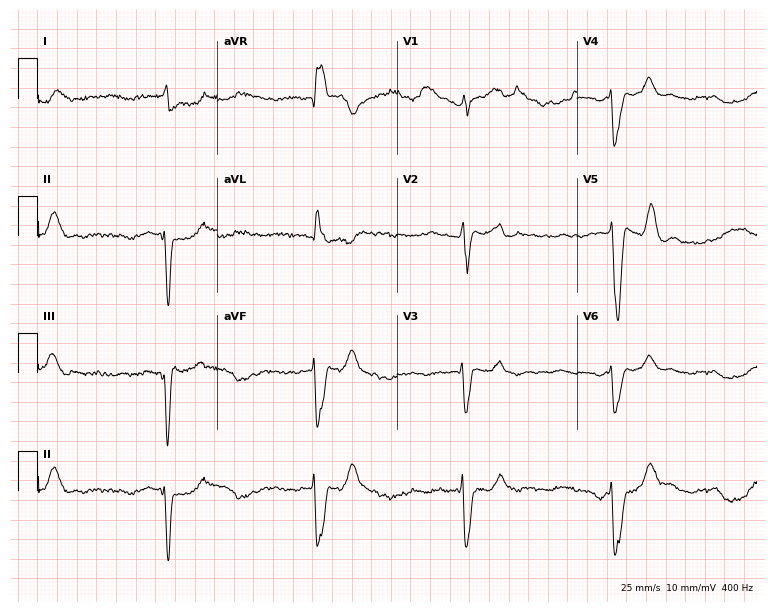
Electrocardiogram (7.3-second recording at 400 Hz), a 61-year-old male. Of the six screened findings (first-degree AV block, right bundle branch block (RBBB), left bundle branch block (LBBB), sinus bradycardia, atrial fibrillation (AF), sinus tachycardia), none is recorded. Other findings, if any, are not listed.